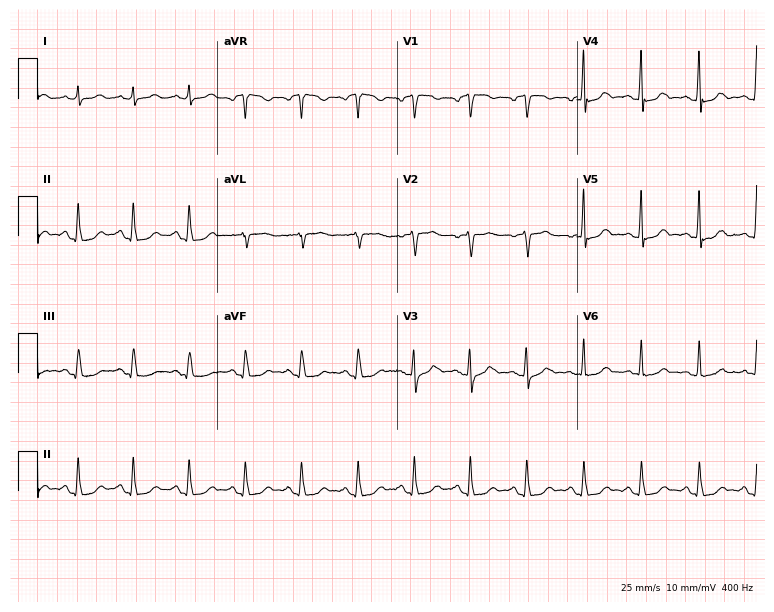
ECG (7.3-second recording at 400 Hz) — a 43-year-old woman. Findings include sinus tachycardia (a sinus rate of 100 beats per minute or more).